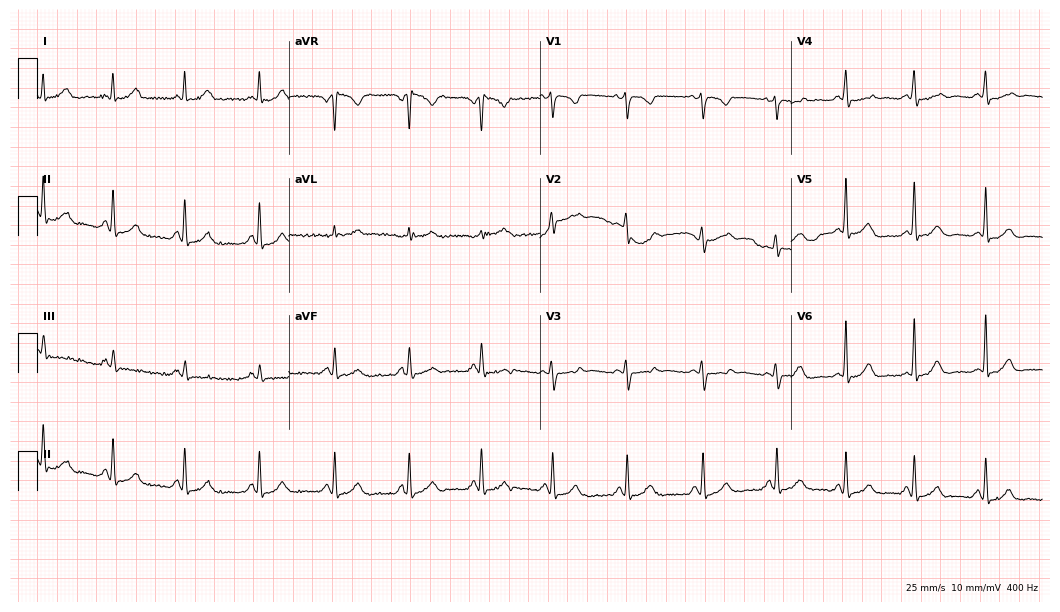
12-lead ECG from a woman, 45 years old. No first-degree AV block, right bundle branch block (RBBB), left bundle branch block (LBBB), sinus bradycardia, atrial fibrillation (AF) or sinus tachycardia recorded for this tracing.